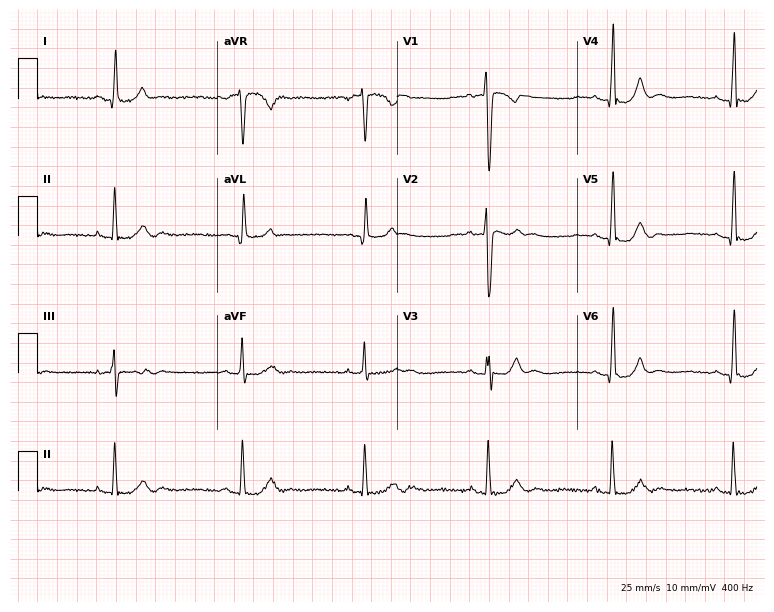
Standard 12-lead ECG recorded from a female patient, 31 years old (7.3-second recording at 400 Hz). The tracing shows sinus bradycardia (a sinus rate of 50 beats per minute or less).